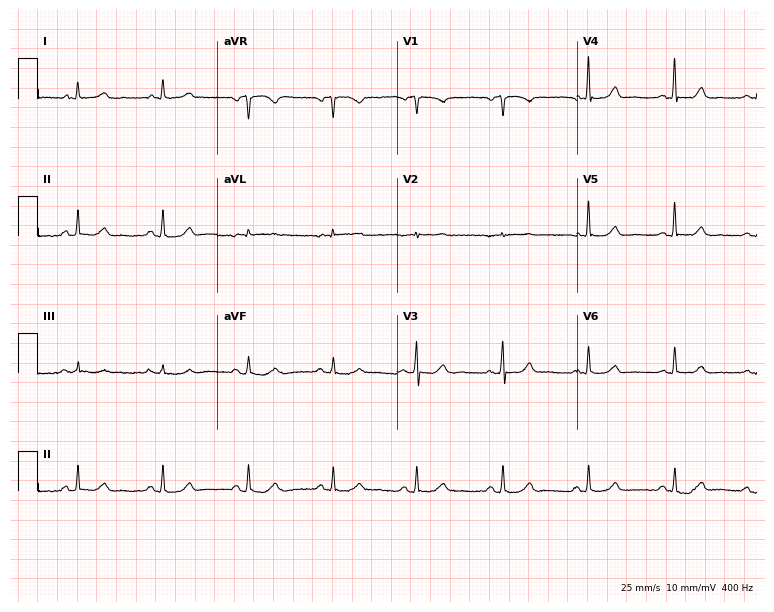
Electrocardiogram, a female, 62 years old. Of the six screened findings (first-degree AV block, right bundle branch block (RBBB), left bundle branch block (LBBB), sinus bradycardia, atrial fibrillation (AF), sinus tachycardia), none is recorded. Findings outside these six are not listed.